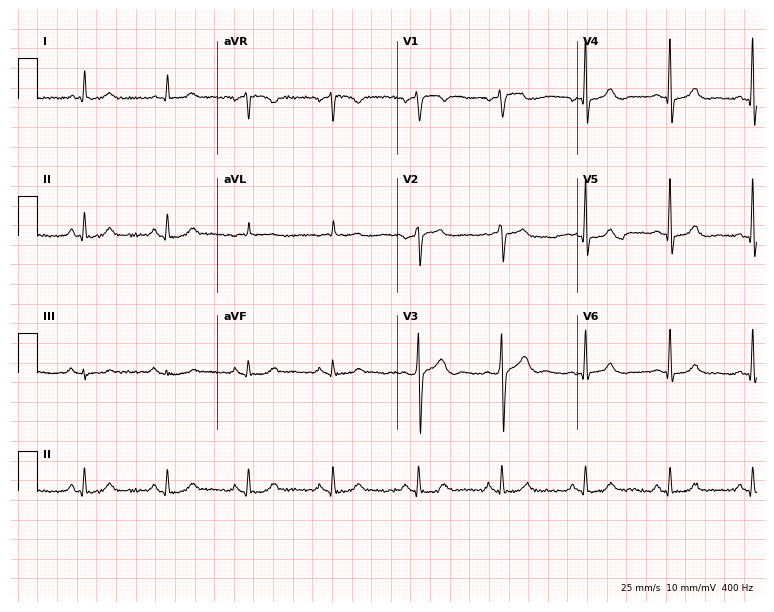
12-lead ECG from a man, 66 years old (7.3-second recording at 400 Hz). No first-degree AV block, right bundle branch block, left bundle branch block, sinus bradycardia, atrial fibrillation or sinus tachycardia recorded for this tracing.